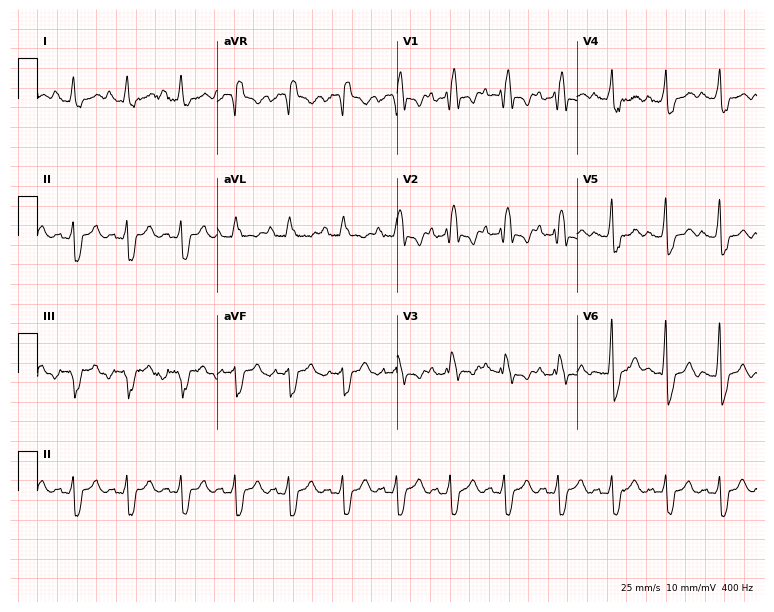
Standard 12-lead ECG recorded from a female, 60 years old (7.3-second recording at 400 Hz). None of these six findings is recorded: first-degree AV block, right bundle branch block, left bundle branch block, sinus bradycardia, atrial fibrillation, sinus tachycardia. Only these six findings were labelled.